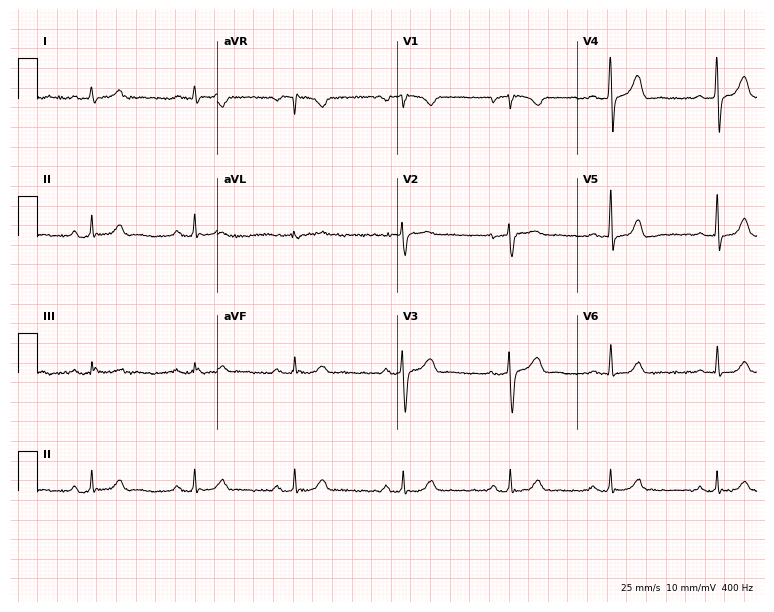
ECG (7.3-second recording at 400 Hz) — a 66-year-old male. Screened for six findings — first-degree AV block, right bundle branch block, left bundle branch block, sinus bradycardia, atrial fibrillation, sinus tachycardia — none is recorded.